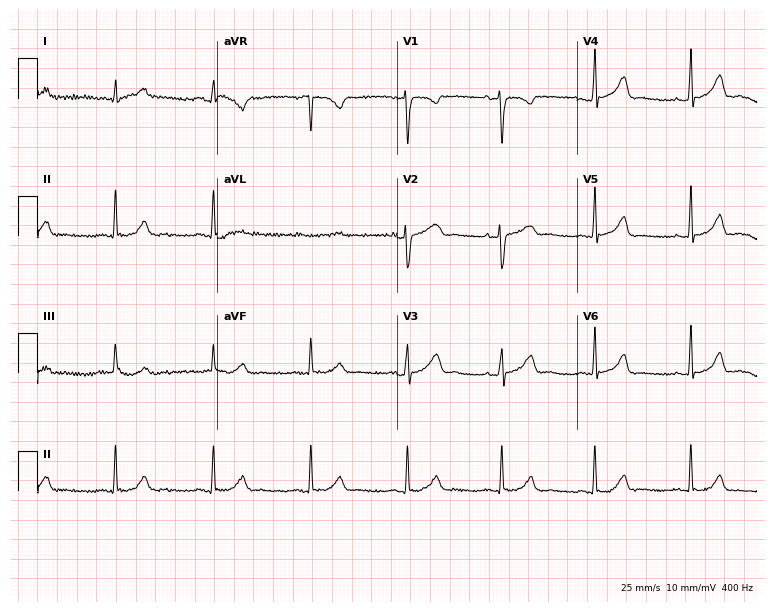
12-lead ECG from a female patient, 43 years old. No first-degree AV block, right bundle branch block, left bundle branch block, sinus bradycardia, atrial fibrillation or sinus tachycardia recorded for this tracing. Other findings, if any, are not listed.